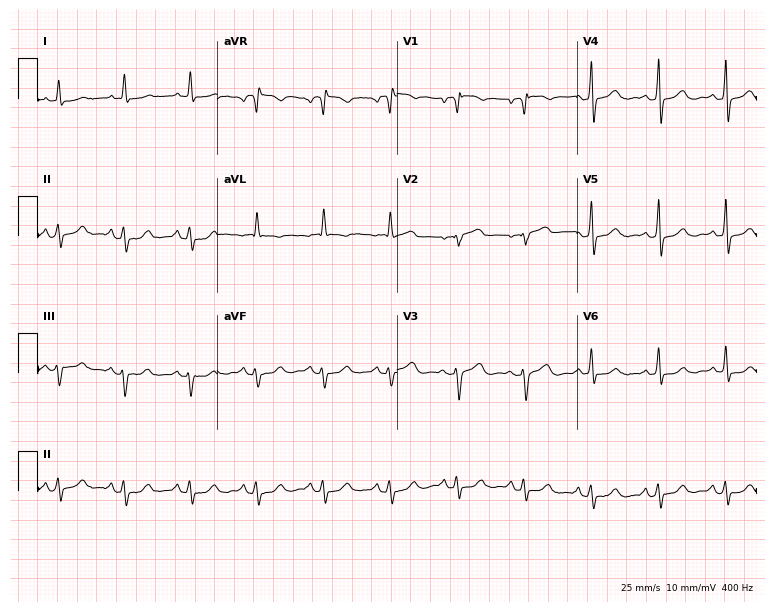
12-lead ECG from a female, 59 years old. No first-degree AV block, right bundle branch block, left bundle branch block, sinus bradycardia, atrial fibrillation or sinus tachycardia recorded for this tracing. Other findings, if any, are not listed.